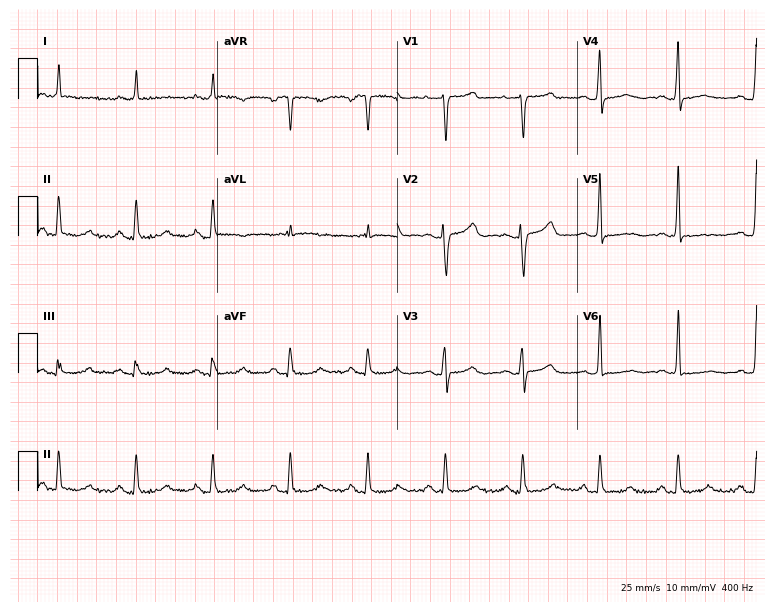
Standard 12-lead ECG recorded from a 78-year-old male. None of these six findings is recorded: first-degree AV block, right bundle branch block, left bundle branch block, sinus bradycardia, atrial fibrillation, sinus tachycardia. Findings outside these six are not listed.